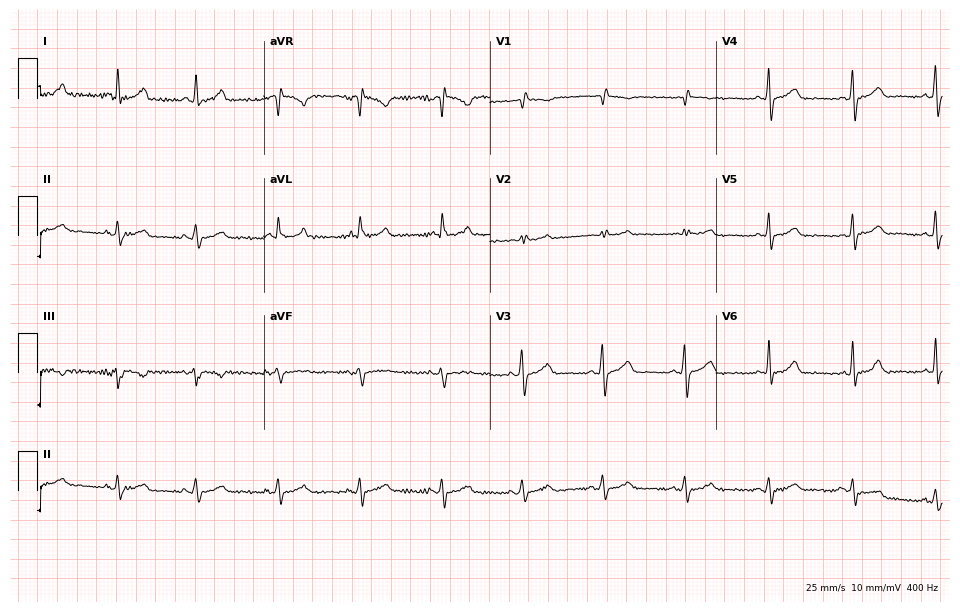
12-lead ECG from a 68-year-old female patient. Labelled as a normal ECG.